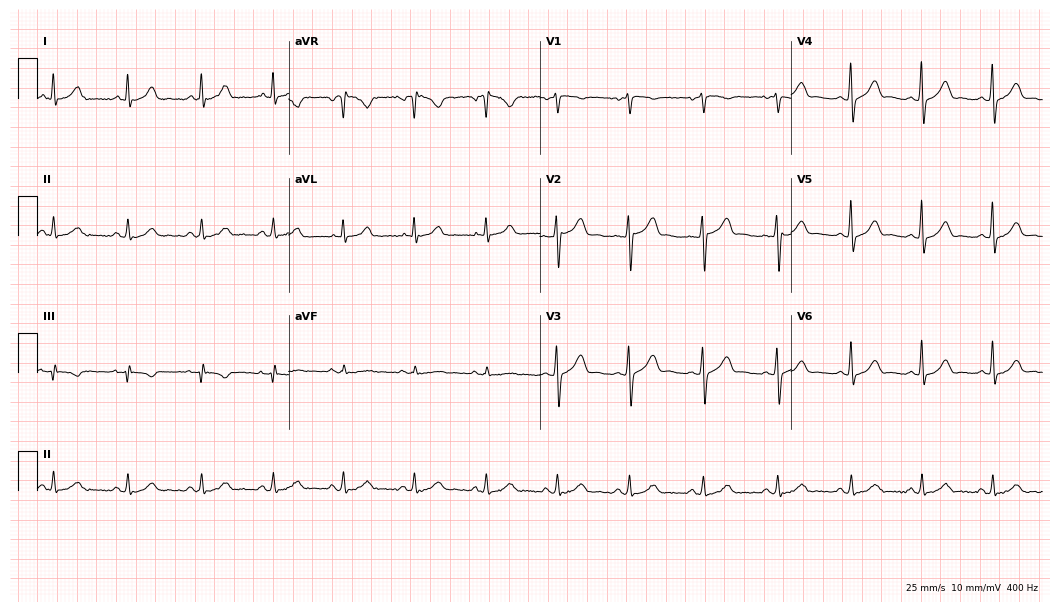
ECG — a 38-year-old female. Labelled as a normal ECG.